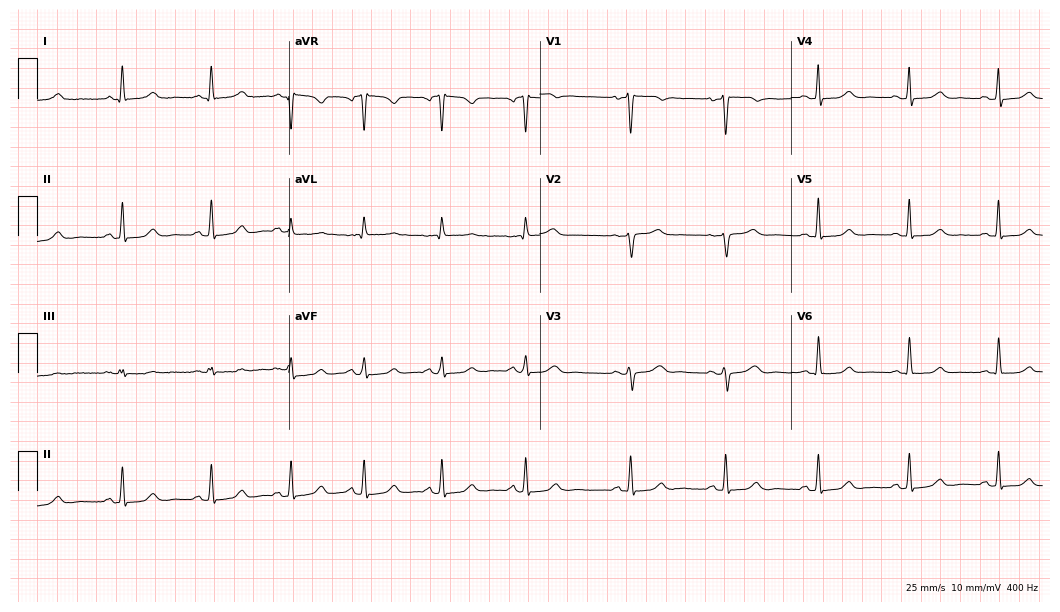
Electrocardiogram, a woman, 48 years old. Of the six screened findings (first-degree AV block, right bundle branch block, left bundle branch block, sinus bradycardia, atrial fibrillation, sinus tachycardia), none is recorded. Other findings, if any, are not listed.